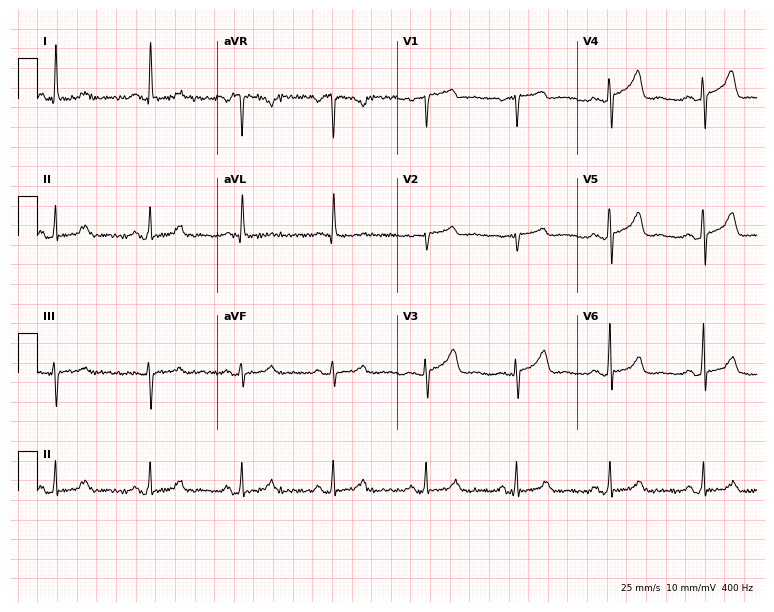
ECG (7.3-second recording at 400 Hz) — a 52-year-old woman. Screened for six findings — first-degree AV block, right bundle branch block, left bundle branch block, sinus bradycardia, atrial fibrillation, sinus tachycardia — none is recorded. Other findings, if any, are not listed.